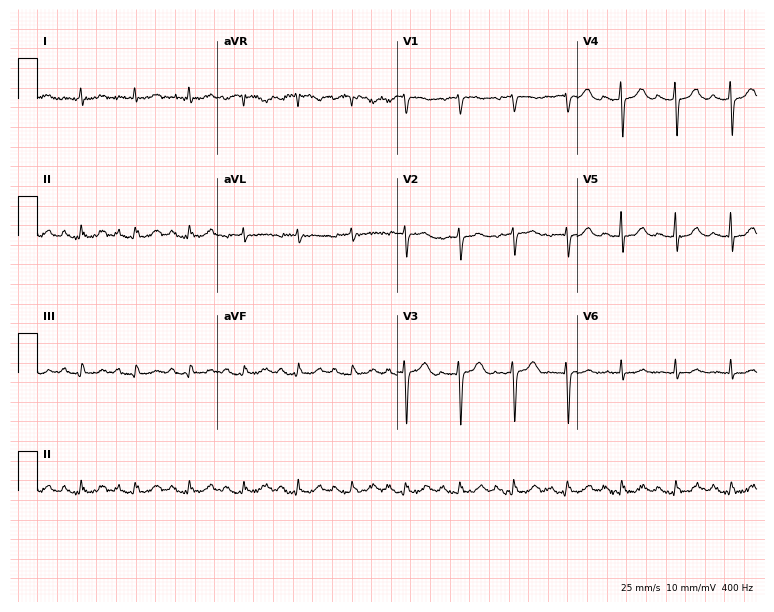
Resting 12-lead electrocardiogram. Patient: an 84-year-old woman. The tracing shows sinus tachycardia (a sinus rate of 100 beats per minute or more).